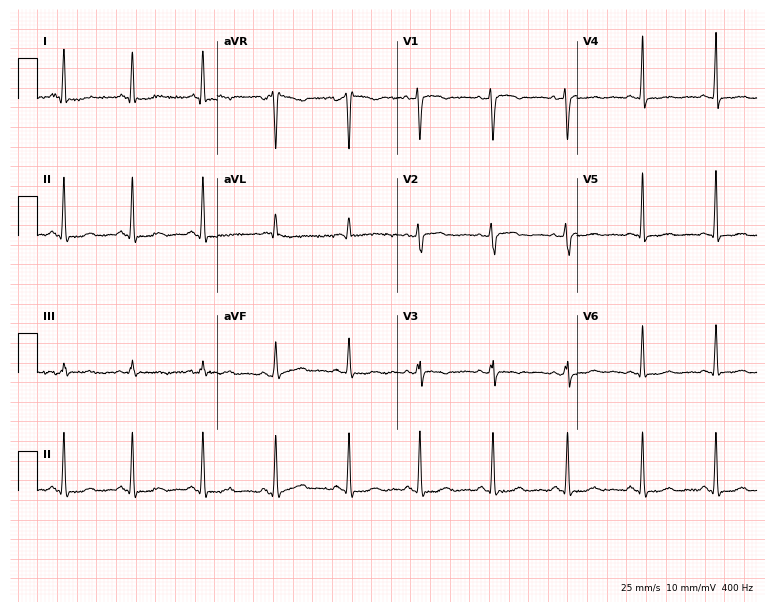
ECG (7.3-second recording at 400 Hz) — a 46-year-old woman. Screened for six findings — first-degree AV block, right bundle branch block (RBBB), left bundle branch block (LBBB), sinus bradycardia, atrial fibrillation (AF), sinus tachycardia — none is recorded.